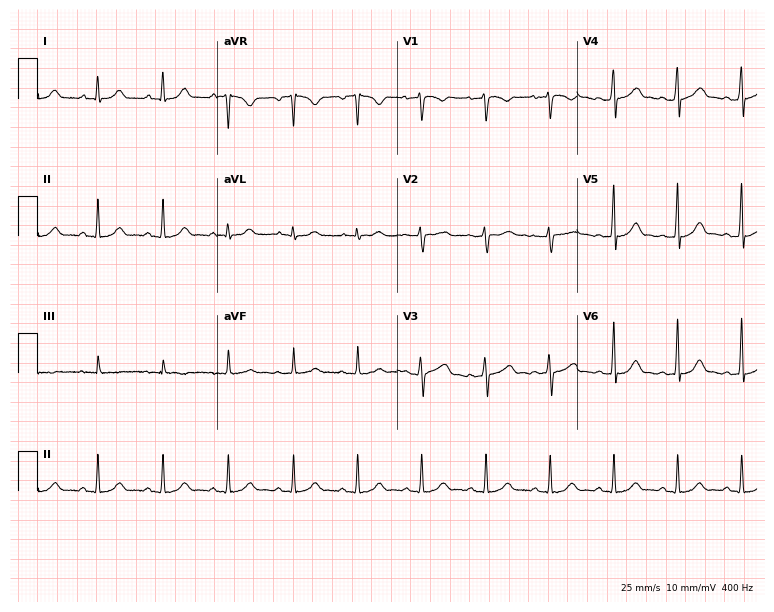
ECG (7.3-second recording at 400 Hz) — a 21-year-old female. Labelled as a normal ECG.